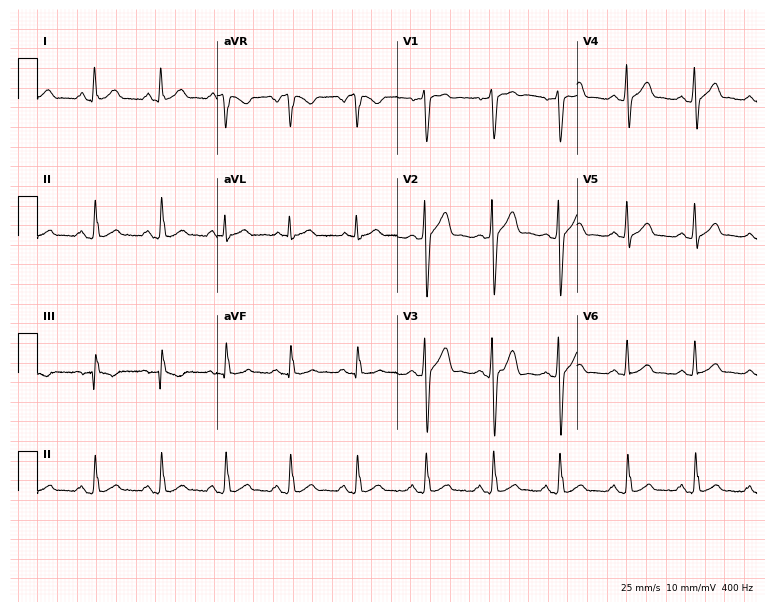
Resting 12-lead electrocardiogram. Patient: a male, 36 years old. Read as a normal ECG.